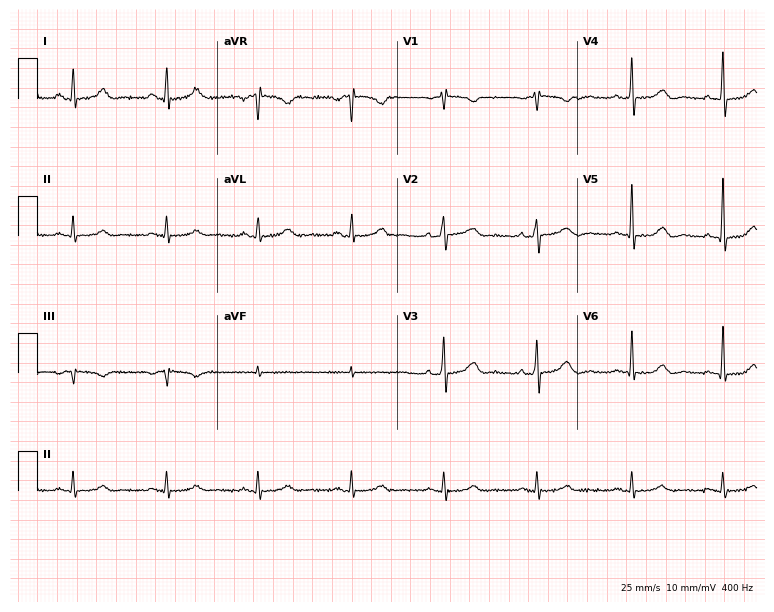
Standard 12-lead ECG recorded from a female, 67 years old (7.3-second recording at 400 Hz). Read as a normal ECG.